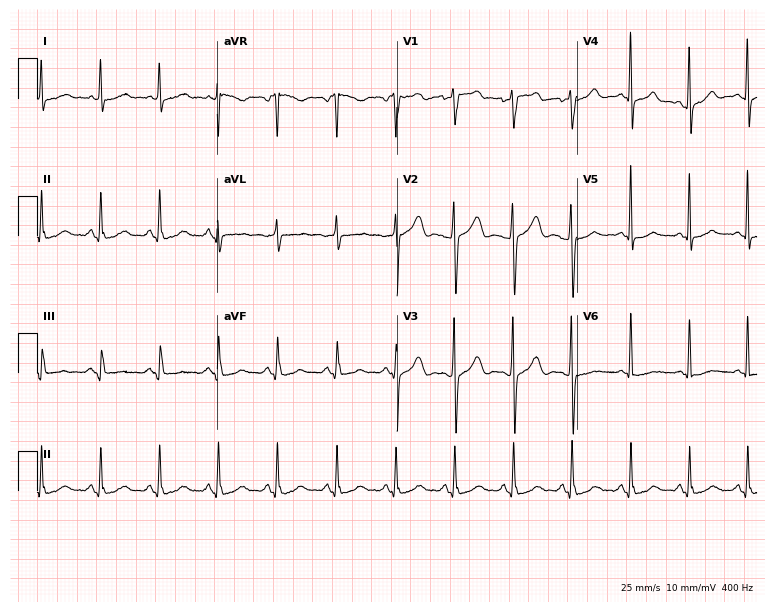
12-lead ECG from a woman, 57 years old (7.3-second recording at 400 Hz). Recorded interpretation: within normal limits.